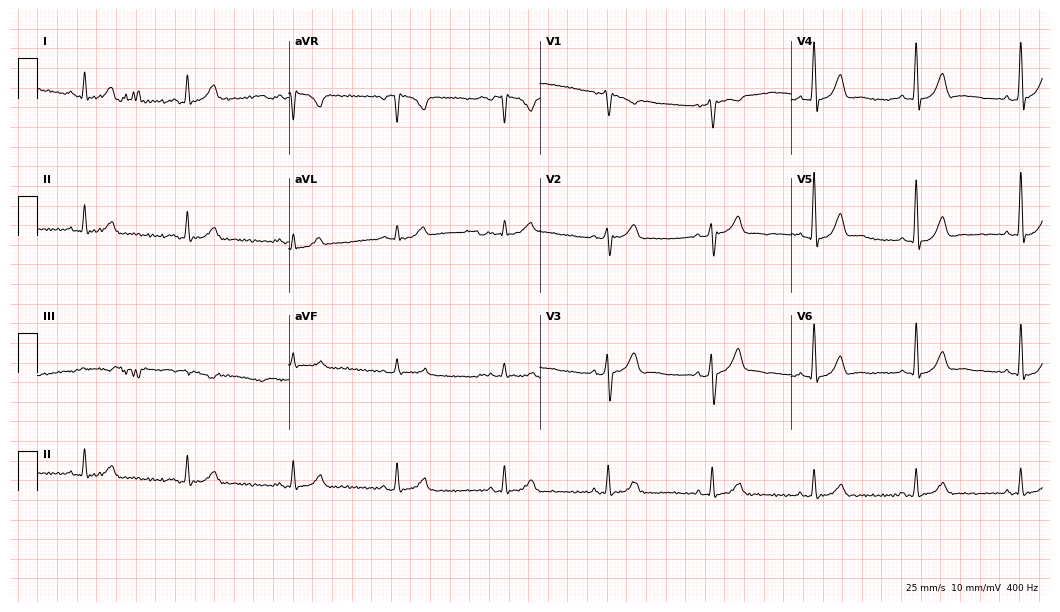
Electrocardiogram, a 50-year-old man. Overall reading on record: normal ECG.